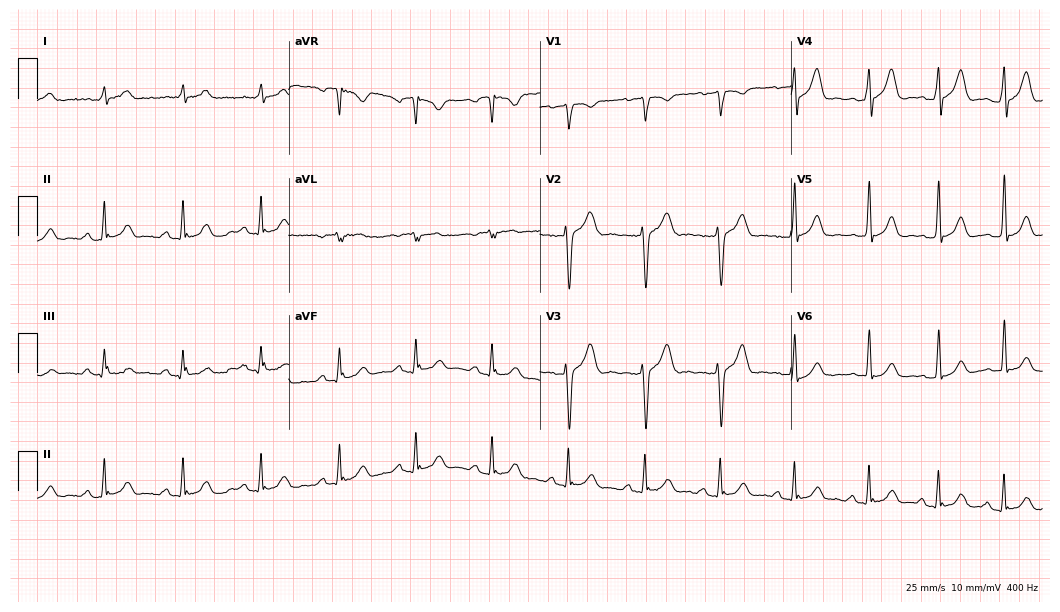
ECG (10.2-second recording at 400 Hz) — a man, 53 years old. Labelled as a normal ECG.